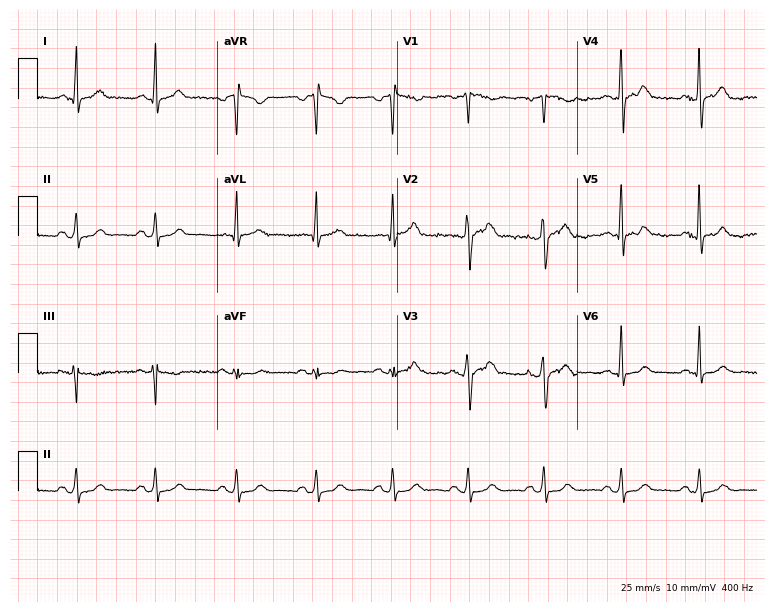
12-lead ECG from a male patient, 42 years old. Recorded interpretation: within normal limits.